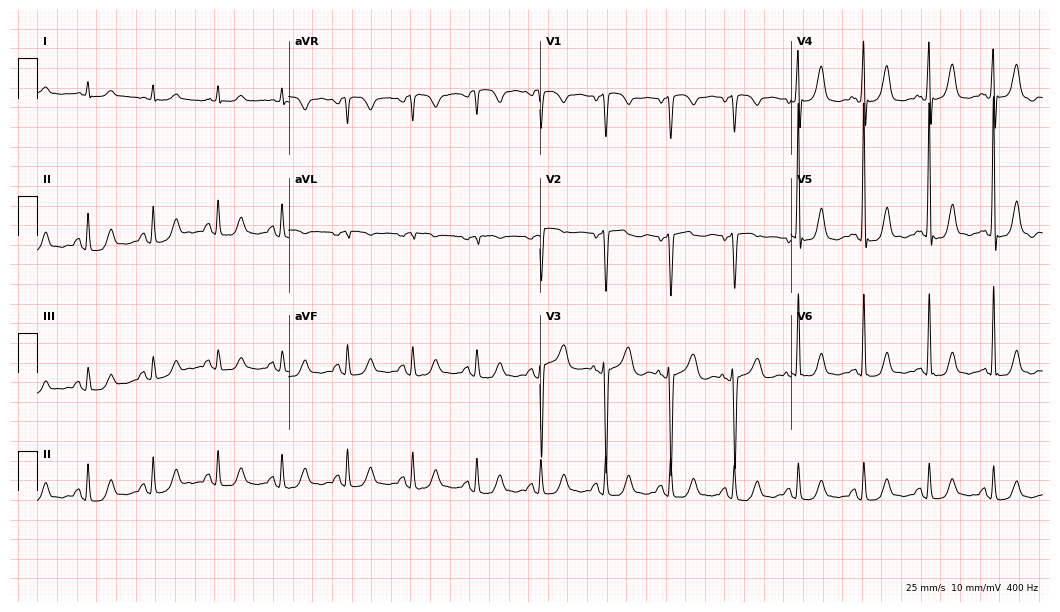
ECG (10.2-second recording at 400 Hz) — a 71-year-old female patient. Labelled as a normal ECG.